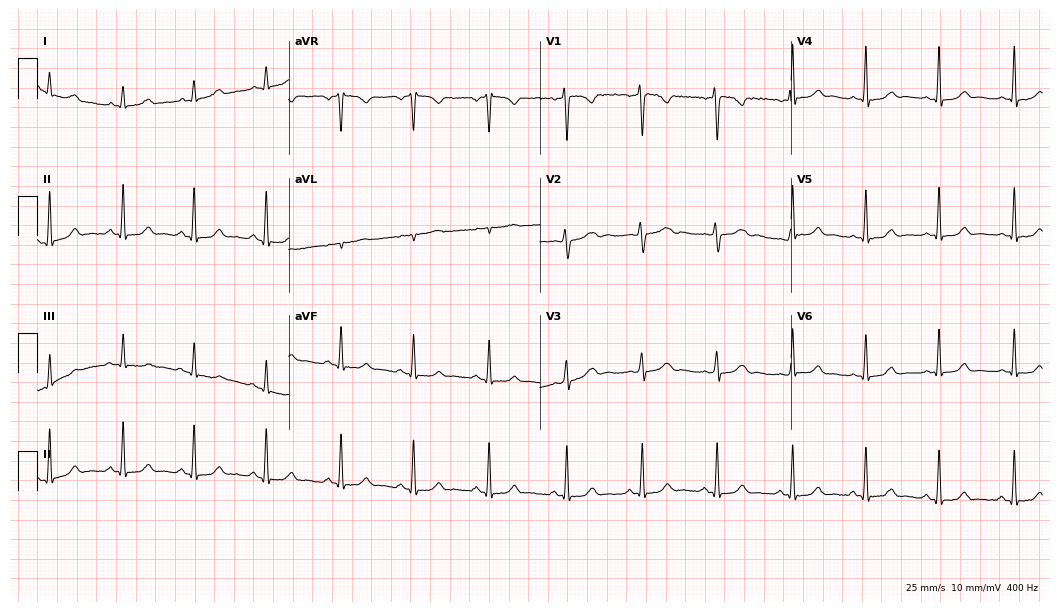
Resting 12-lead electrocardiogram (10.2-second recording at 400 Hz). Patient: a 37-year-old female. None of these six findings is recorded: first-degree AV block, right bundle branch block, left bundle branch block, sinus bradycardia, atrial fibrillation, sinus tachycardia.